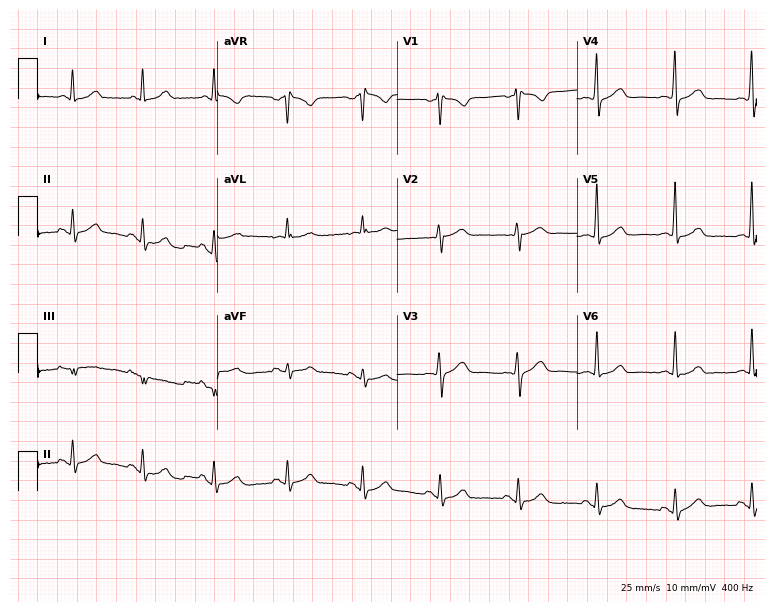
Standard 12-lead ECG recorded from a female, 56 years old. None of these six findings is recorded: first-degree AV block, right bundle branch block, left bundle branch block, sinus bradycardia, atrial fibrillation, sinus tachycardia.